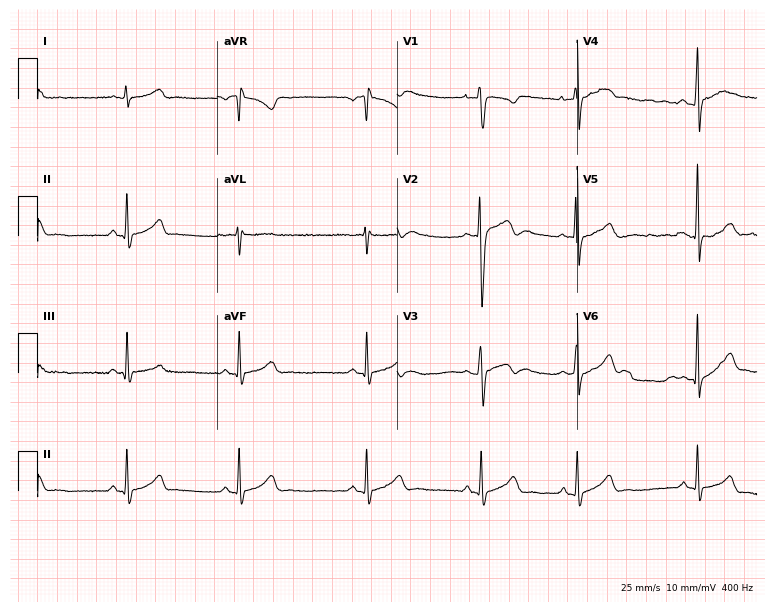
Standard 12-lead ECG recorded from a 26-year-old male patient (7.3-second recording at 400 Hz). Read as a normal ECG.